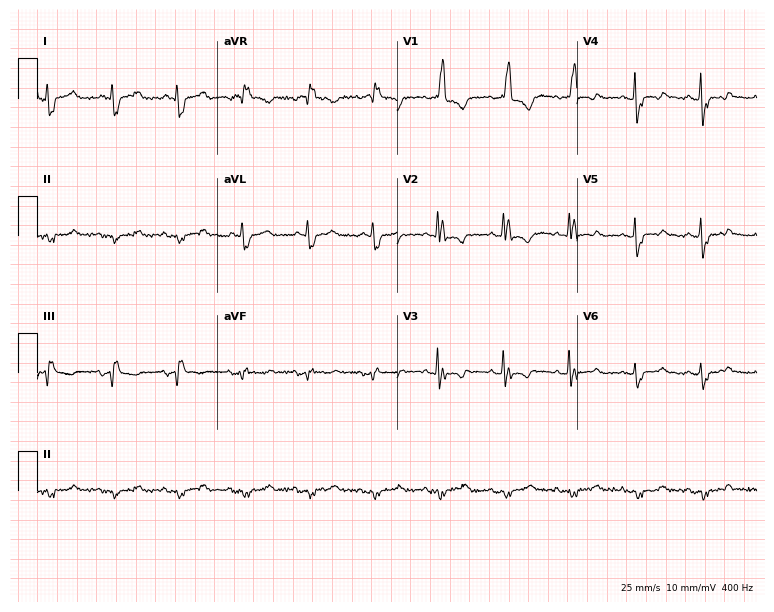
12-lead ECG from an 84-year-old woman. Screened for six findings — first-degree AV block, right bundle branch block, left bundle branch block, sinus bradycardia, atrial fibrillation, sinus tachycardia — none is recorded.